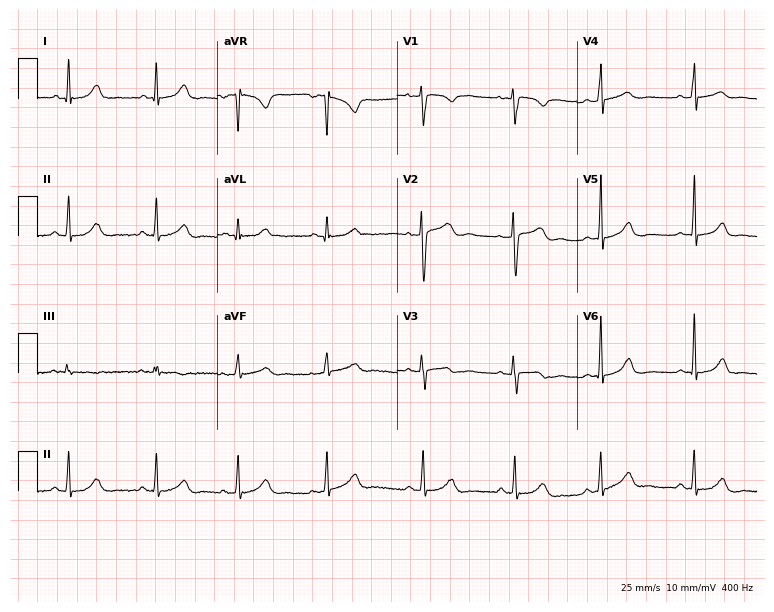
ECG (7.3-second recording at 400 Hz) — a woman, 33 years old. Labelled as a normal ECG.